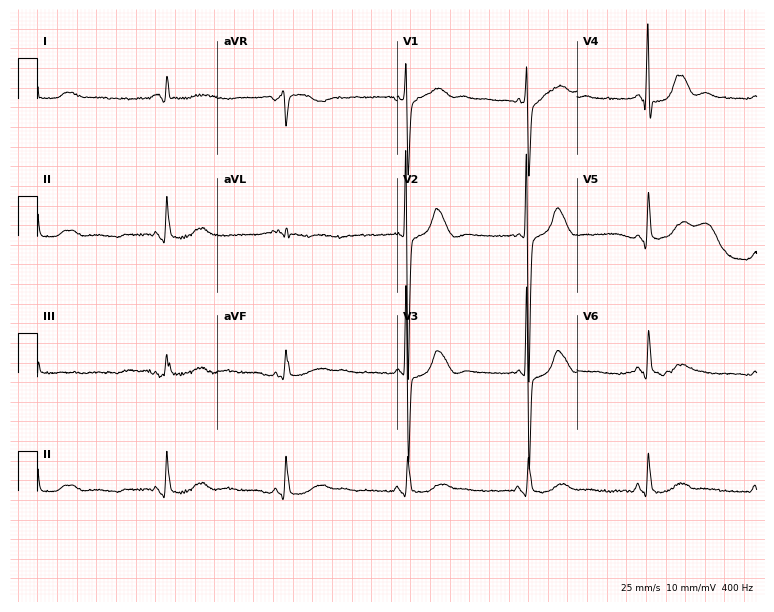
Standard 12-lead ECG recorded from an 81-year-old female patient (7.3-second recording at 400 Hz). The tracing shows sinus bradycardia (a sinus rate of 50 beats per minute or less).